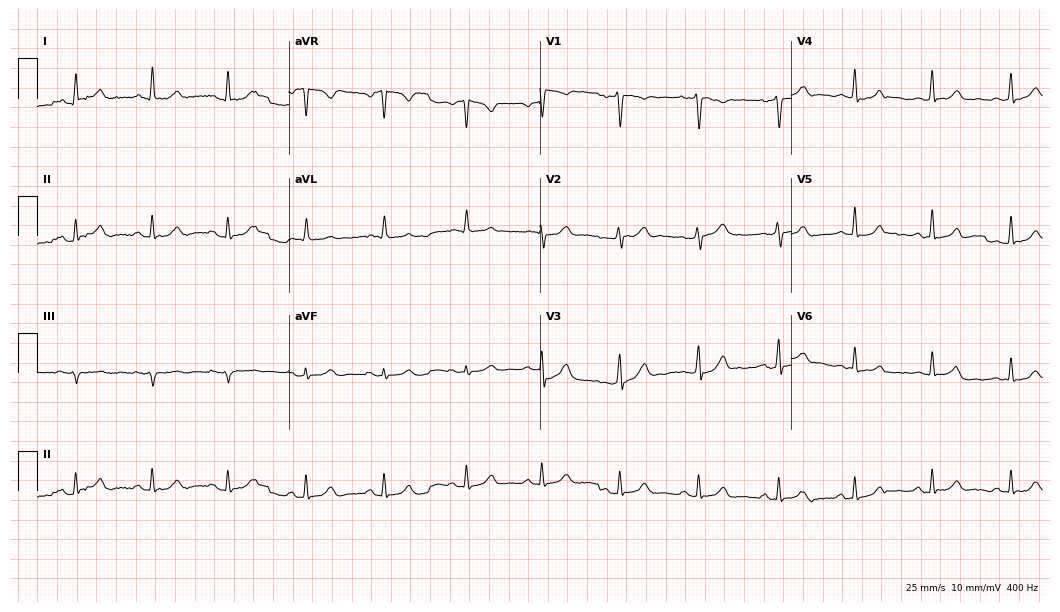
ECG (10.2-second recording at 400 Hz) — a woman, 28 years old. Labelled as a normal ECG.